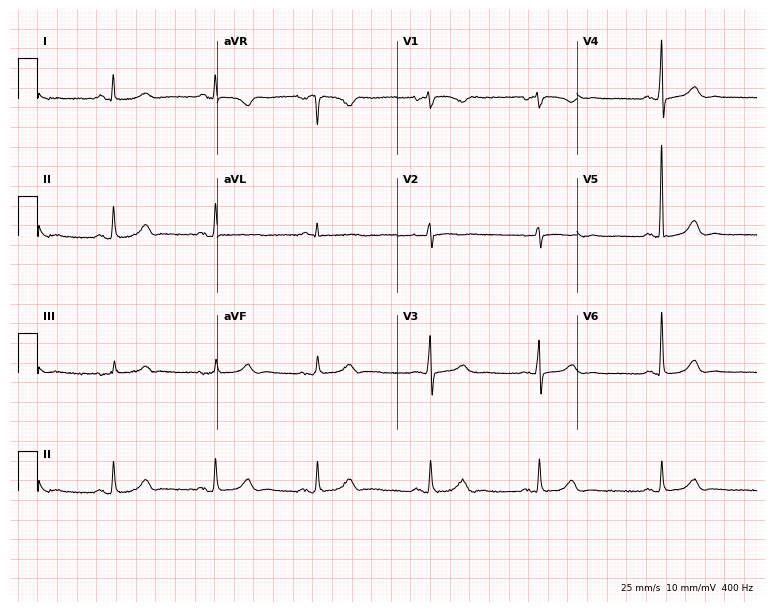
12-lead ECG from a woman, 75 years old (7.3-second recording at 400 Hz). No first-degree AV block, right bundle branch block (RBBB), left bundle branch block (LBBB), sinus bradycardia, atrial fibrillation (AF) or sinus tachycardia recorded for this tracing.